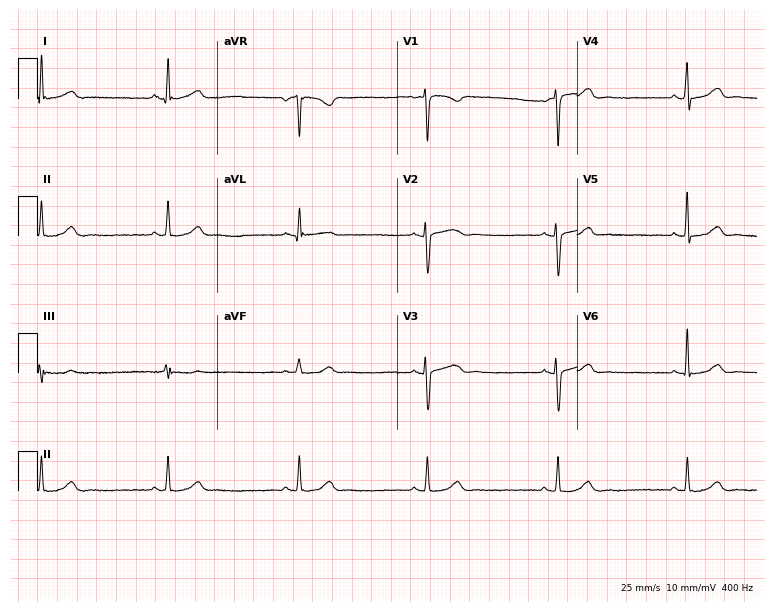
12-lead ECG from a 25-year-old female patient. Shows sinus bradycardia (a sinus rate of 50 beats per minute or less).